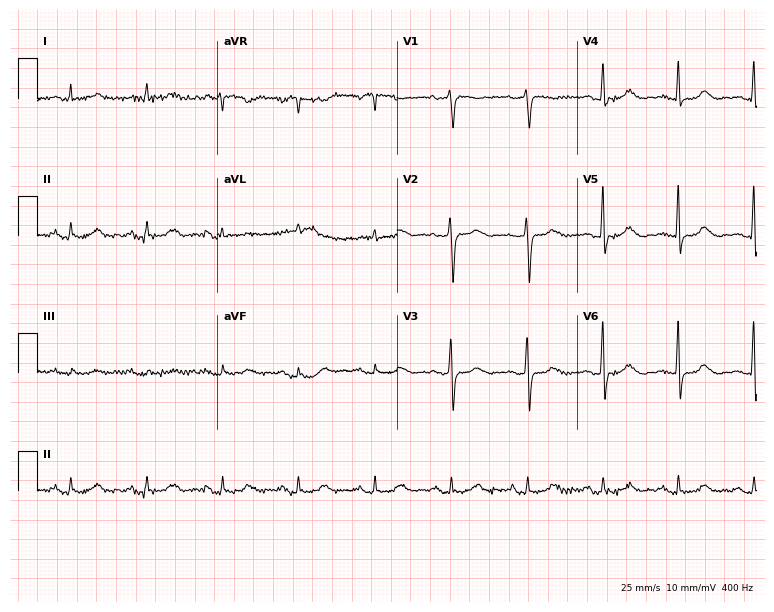
Electrocardiogram (7.3-second recording at 400 Hz), a female, 76 years old. Of the six screened findings (first-degree AV block, right bundle branch block (RBBB), left bundle branch block (LBBB), sinus bradycardia, atrial fibrillation (AF), sinus tachycardia), none is recorded. Other findings, if any, are not listed.